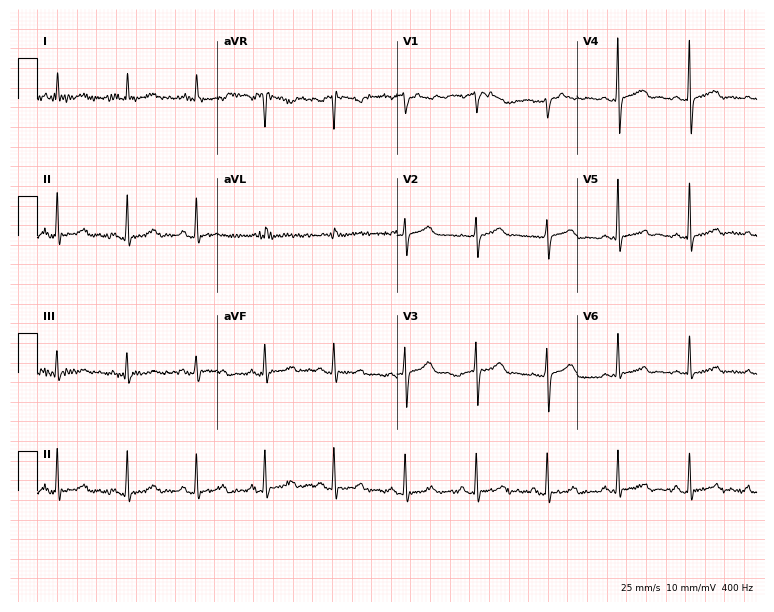
Electrocardiogram (7.3-second recording at 400 Hz), a female, 75 years old. Overall reading on record: normal ECG.